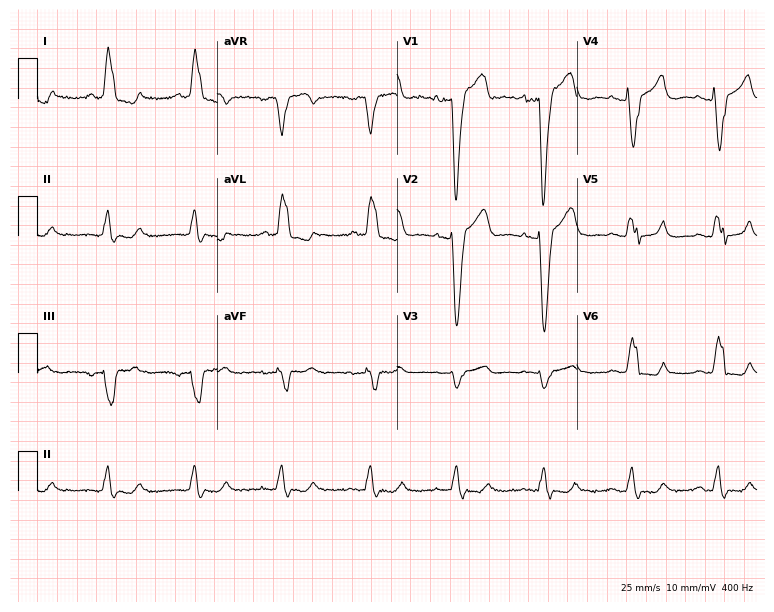
Standard 12-lead ECG recorded from a 62-year-old female. The tracing shows left bundle branch block.